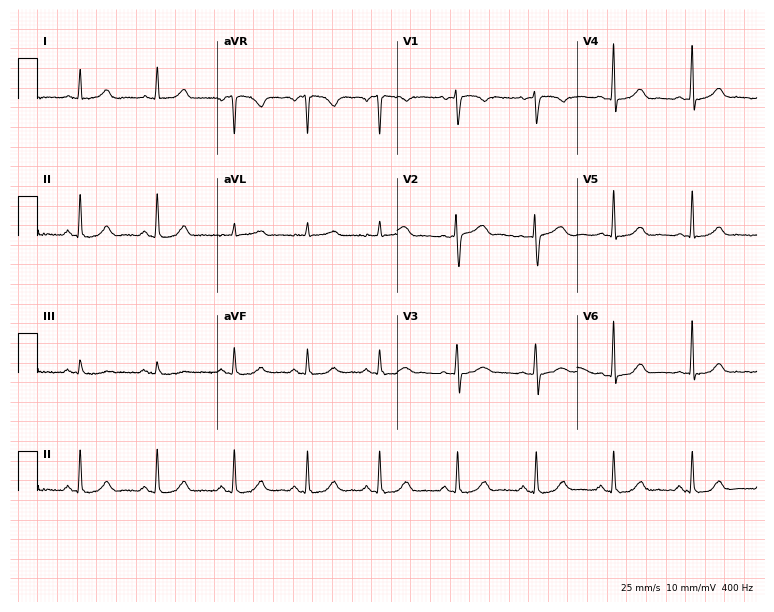
Standard 12-lead ECG recorded from a female, 49 years old (7.3-second recording at 400 Hz). None of these six findings is recorded: first-degree AV block, right bundle branch block, left bundle branch block, sinus bradycardia, atrial fibrillation, sinus tachycardia.